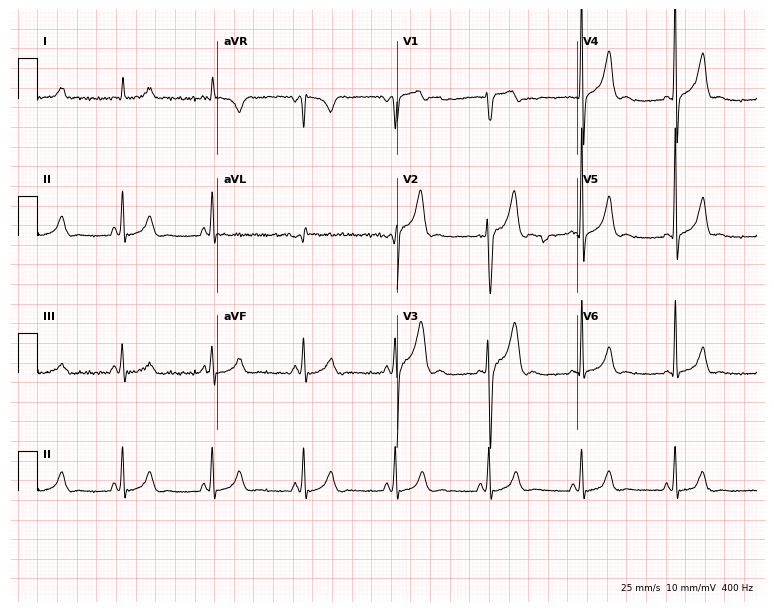
12-lead ECG (7.3-second recording at 400 Hz) from a 45-year-old male patient. Screened for six findings — first-degree AV block, right bundle branch block, left bundle branch block, sinus bradycardia, atrial fibrillation, sinus tachycardia — none is recorded.